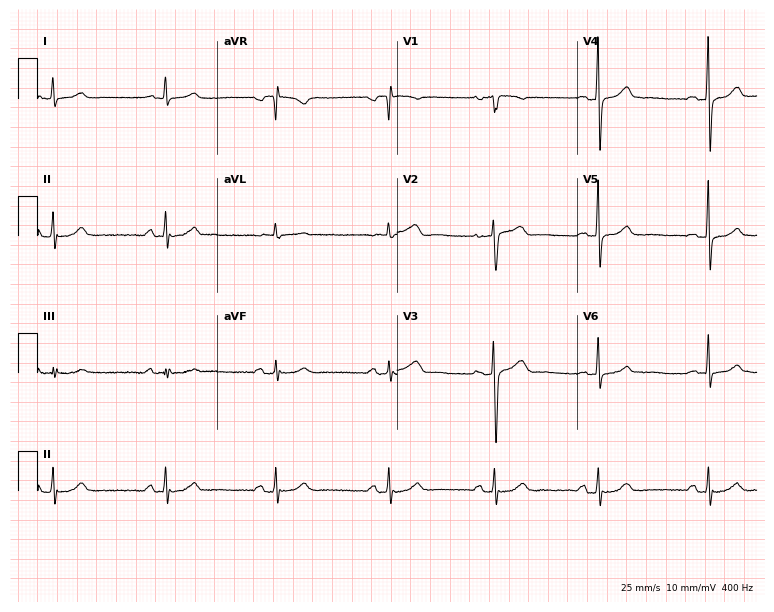
Electrocardiogram, a 37-year-old male patient. Overall reading on record: normal ECG.